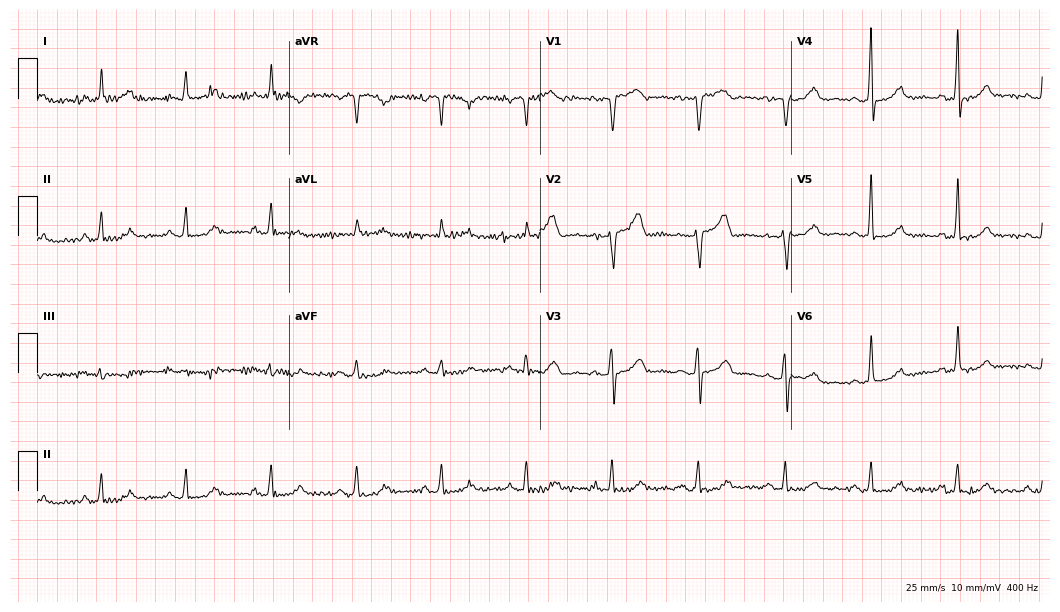
ECG (10.2-second recording at 400 Hz) — a woman, 72 years old. Screened for six findings — first-degree AV block, right bundle branch block, left bundle branch block, sinus bradycardia, atrial fibrillation, sinus tachycardia — none is recorded.